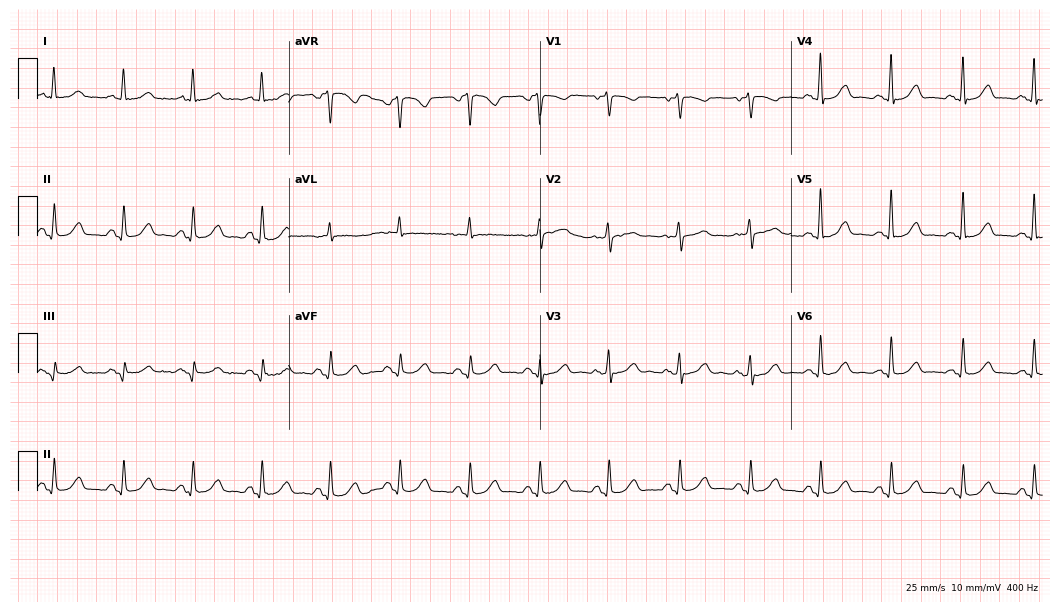
Electrocardiogram (10.2-second recording at 400 Hz), a female, 64 years old. Overall reading on record: normal ECG.